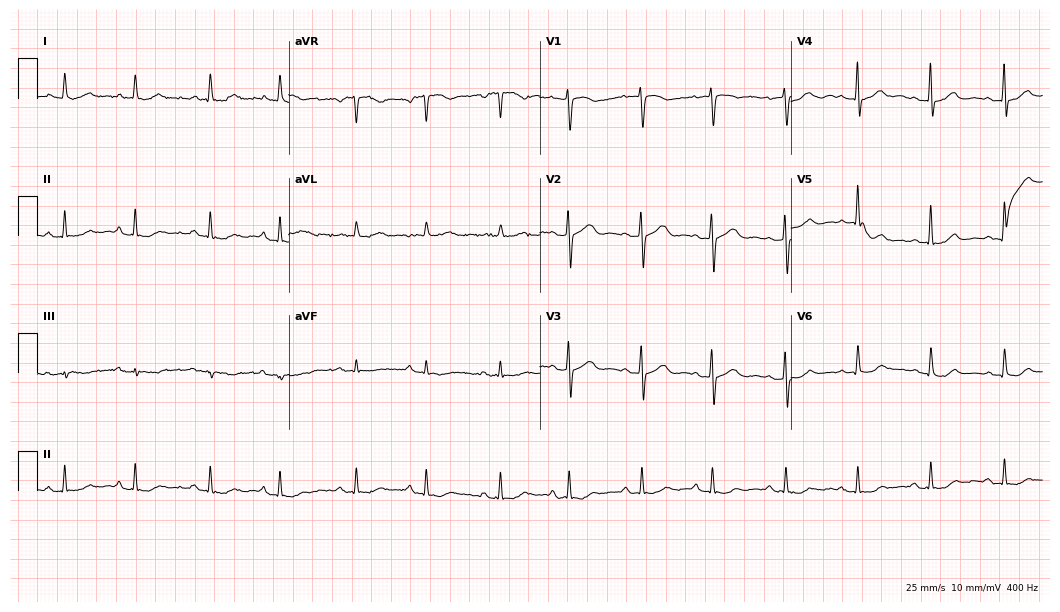
ECG — a female patient, 81 years old. Screened for six findings — first-degree AV block, right bundle branch block, left bundle branch block, sinus bradycardia, atrial fibrillation, sinus tachycardia — none is recorded.